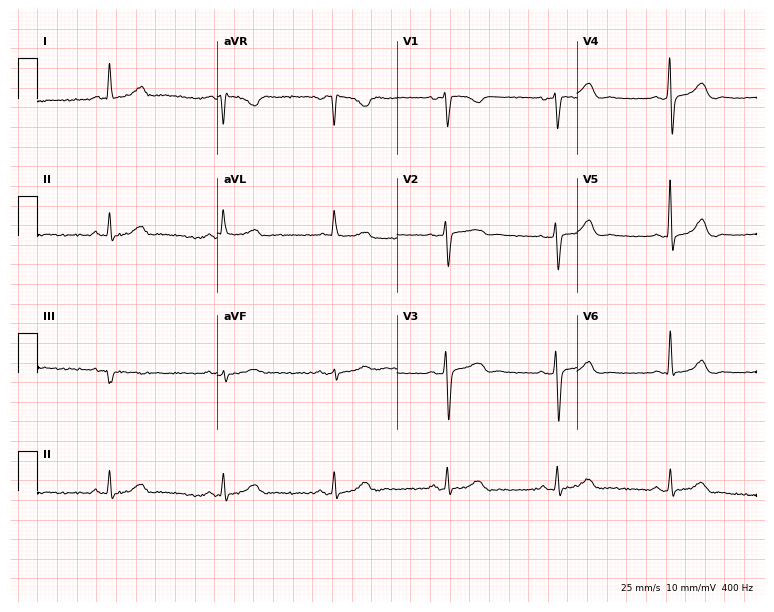
12-lead ECG (7.3-second recording at 400 Hz) from a 38-year-old man. Screened for six findings — first-degree AV block, right bundle branch block, left bundle branch block, sinus bradycardia, atrial fibrillation, sinus tachycardia — none is recorded. Only these six findings were labelled.